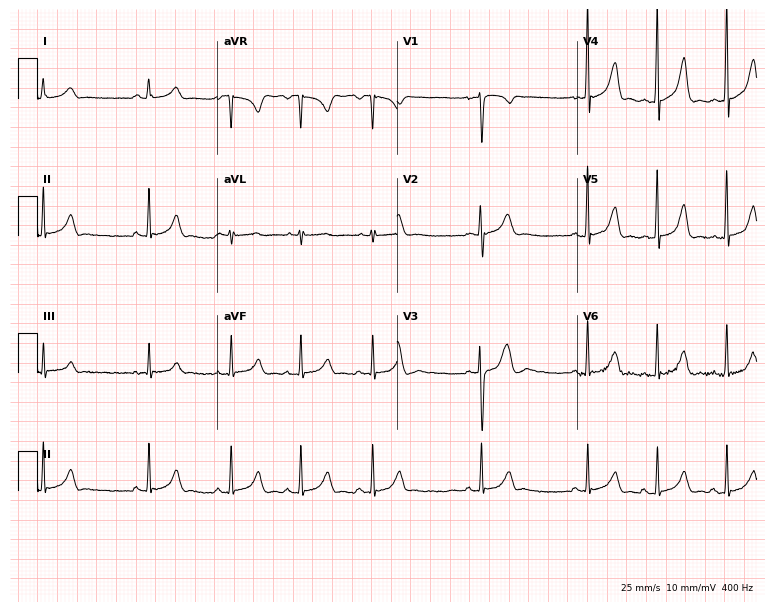
12-lead ECG from a 19-year-old female patient (7.3-second recording at 400 Hz). Recorded interpretation: within normal limits.